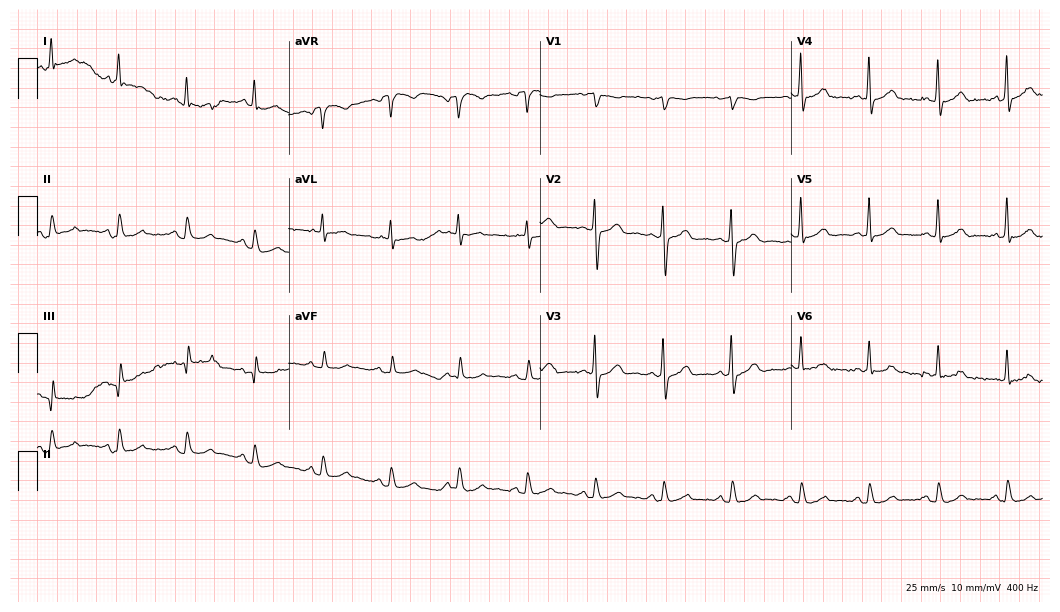
Resting 12-lead electrocardiogram (10.2-second recording at 400 Hz). Patient: a male, 83 years old. Read as a normal ECG.